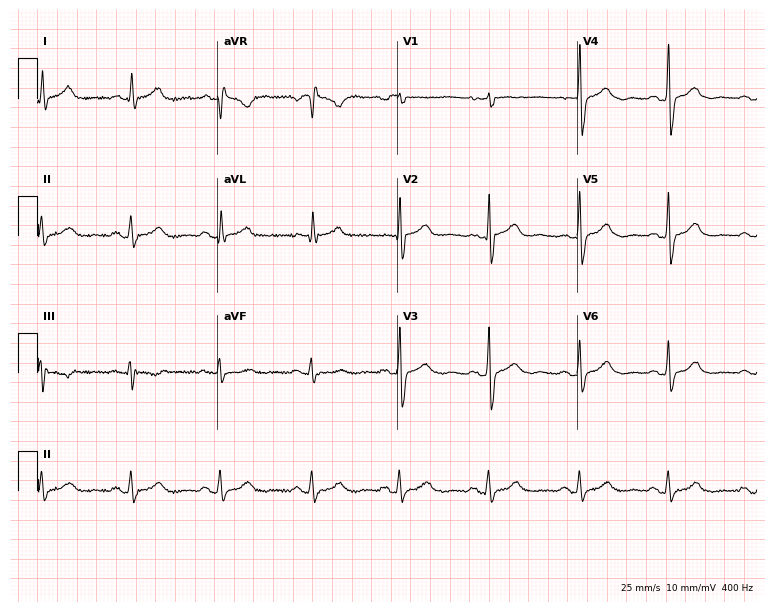
Electrocardiogram, a 70-year-old male patient. Overall reading on record: normal ECG.